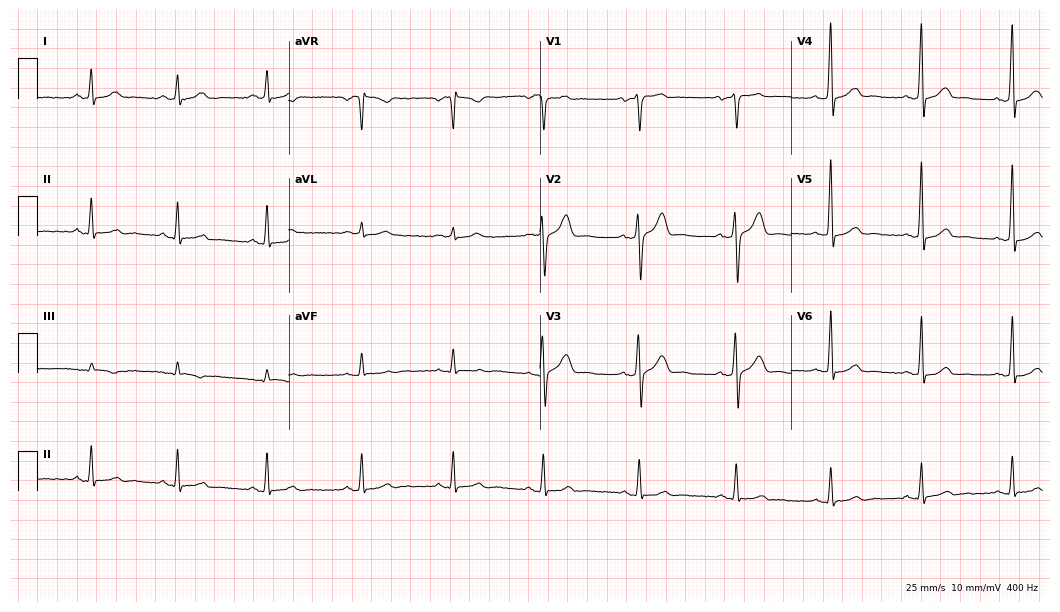
12-lead ECG (10.2-second recording at 400 Hz) from a 23-year-old woman. Labelled as a normal ECG.